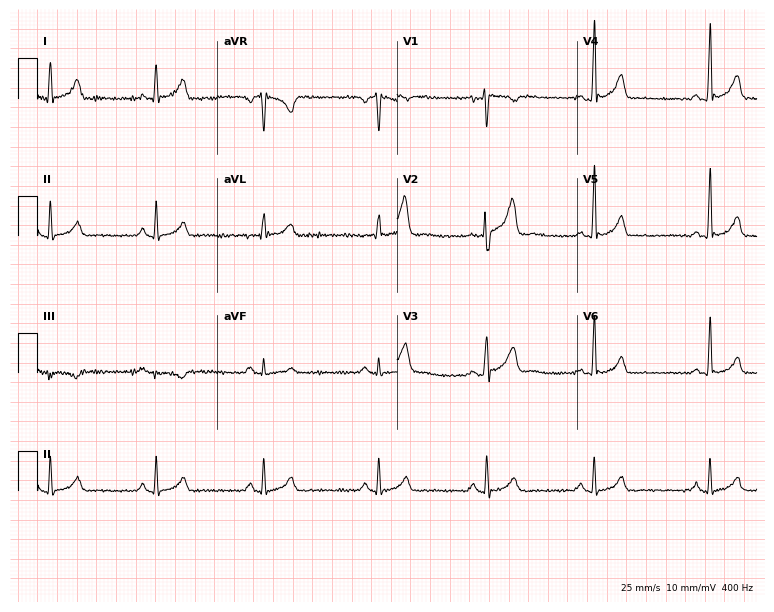
12-lead ECG from a male patient, 30 years old. Screened for six findings — first-degree AV block, right bundle branch block (RBBB), left bundle branch block (LBBB), sinus bradycardia, atrial fibrillation (AF), sinus tachycardia — none is recorded. Findings outside these six are not listed.